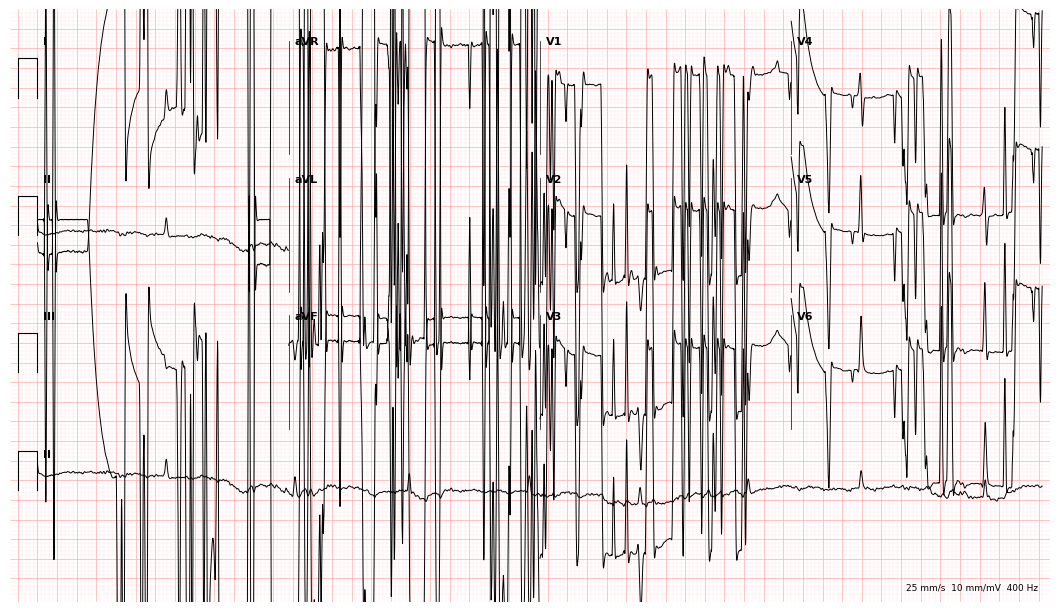
12-lead ECG (10.2-second recording at 400 Hz) from an 81-year-old male. Screened for six findings — first-degree AV block, right bundle branch block (RBBB), left bundle branch block (LBBB), sinus bradycardia, atrial fibrillation (AF), sinus tachycardia — none is recorded.